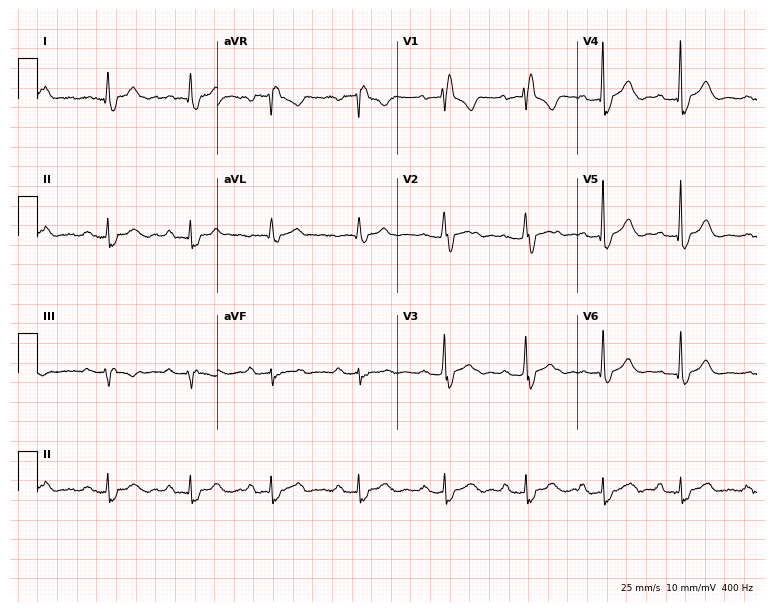
ECG — a female patient, 45 years old. Findings include first-degree AV block, right bundle branch block (RBBB).